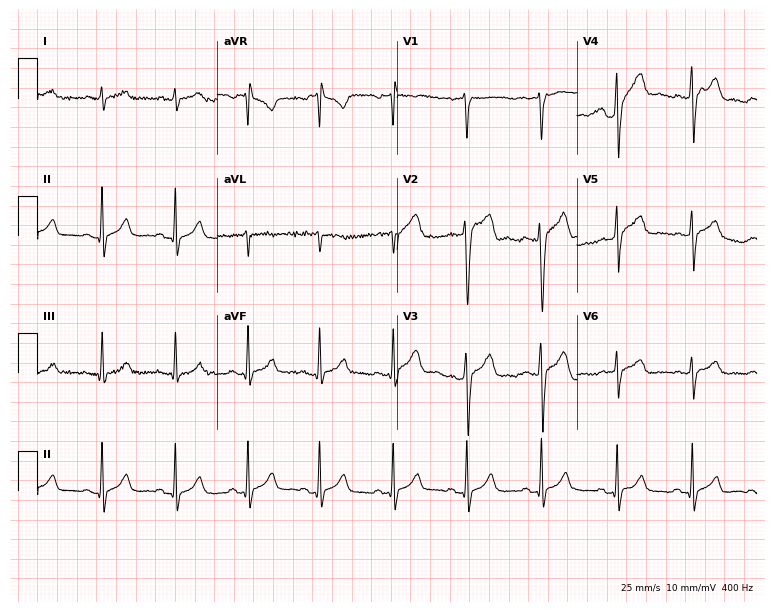
Resting 12-lead electrocardiogram (7.3-second recording at 400 Hz). Patient: a male, 37 years old. None of these six findings is recorded: first-degree AV block, right bundle branch block (RBBB), left bundle branch block (LBBB), sinus bradycardia, atrial fibrillation (AF), sinus tachycardia. Other findings, if any, are not listed.